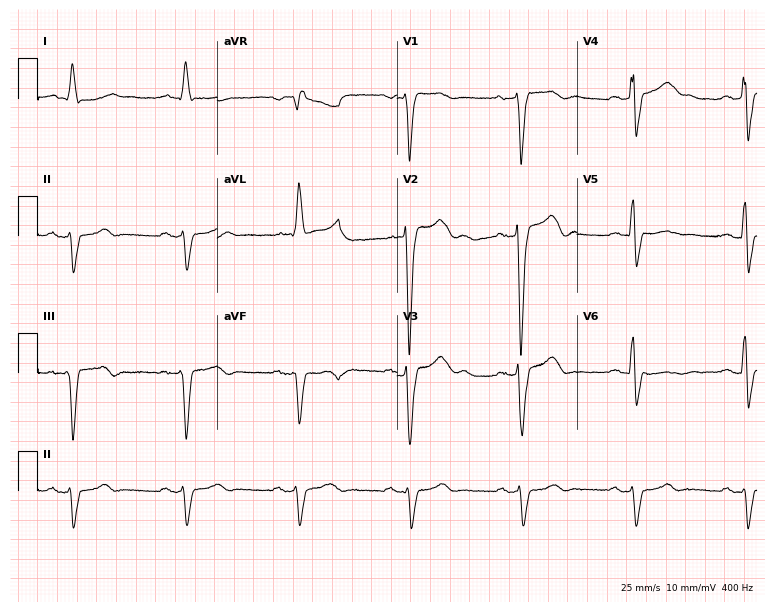
Standard 12-lead ECG recorded from a 77-year-old male (7.3-second recording at 400 Hz). The tracing shows left bundle branch block (LBBB).